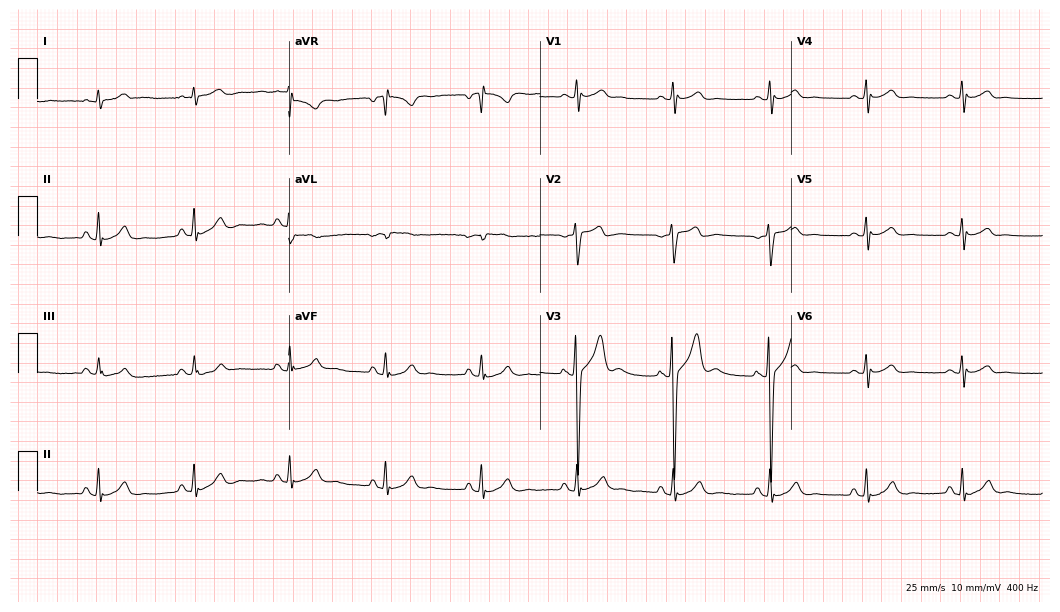
Electrocardiogram (10.2-second recording at 400 Hz), a 21-year-old man. Overall reading on record: normal ECG.